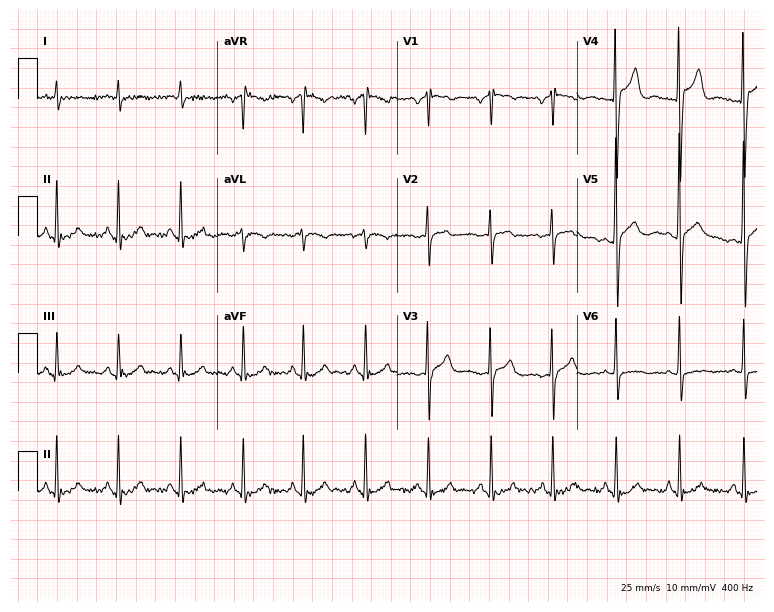
12-lead ECG from a man, 33 years old. No first-degree AV block, right bundle branch block, left bundle branch block, sinus bradycardia, atrial fibrillation or sinus tachycardia recorded for this tracing.